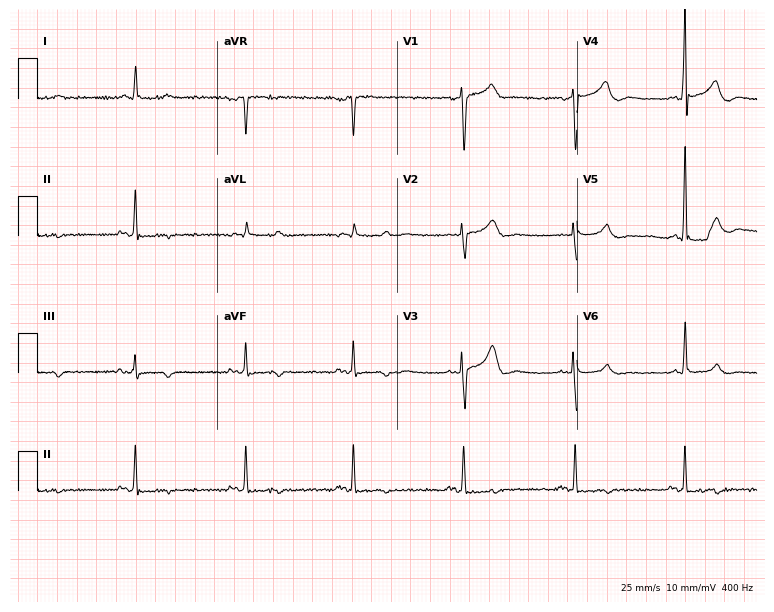
12-lead ECG from a male patient, 76 years old. No first-degree AV block, right bundle branch block, left bundle branch block, sinus bradycardia, atrial fibrillation or sinus tachycardia recorded for this tracing. Only these six findings were labelled.